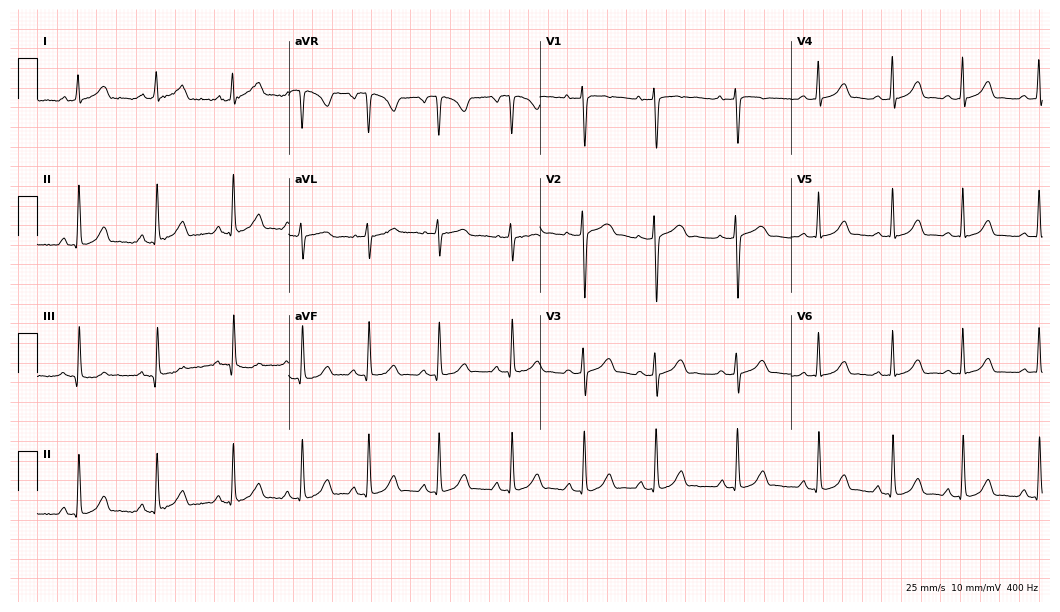
ECG — a 30-year-old female. Labelled as a normal ECG.